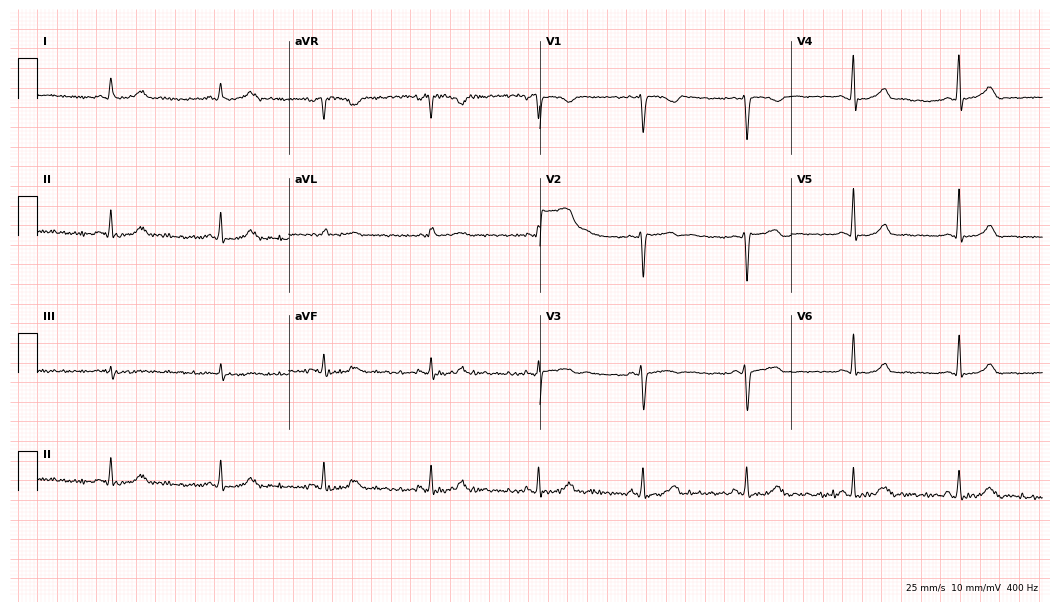
Electrocardiogram, a 39-year-old woman. Overall reading on record: normal ECG.